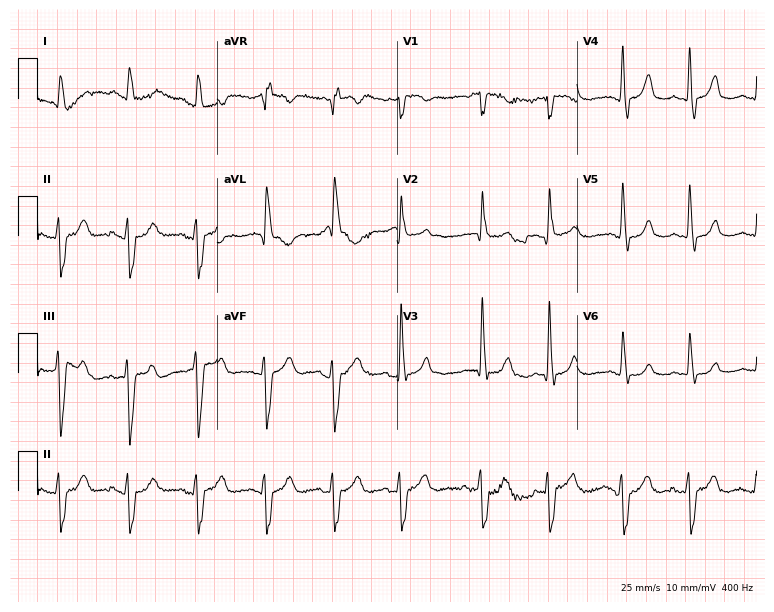
Standard 12-lead ECG recorded from a 77-year-old female patient. None of these six findings is recorded: first-degree AV block, right bundle branch block, left bundle branch block, sinus bradycardia, atrial fibrillation, sinus tachycardia.